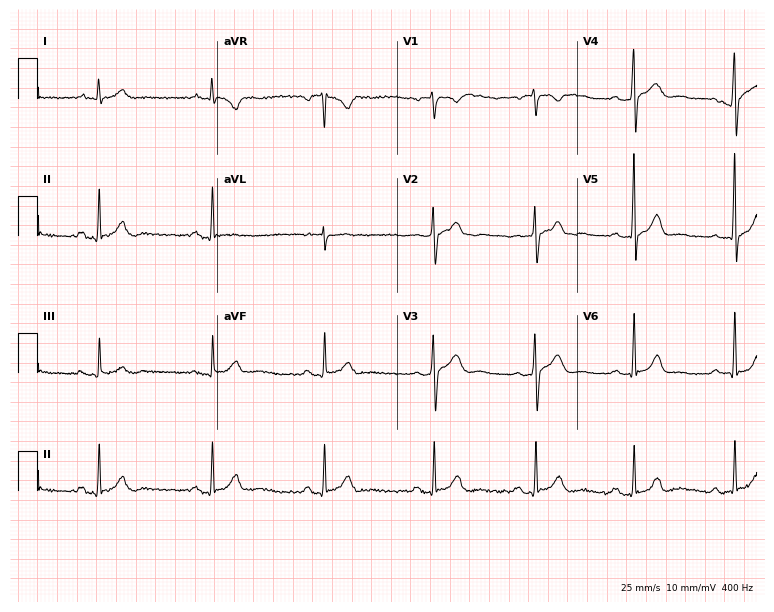
Resting 12-lead electrocardiogram. Patient: a 39-year-old female. Read as a normal ECG.